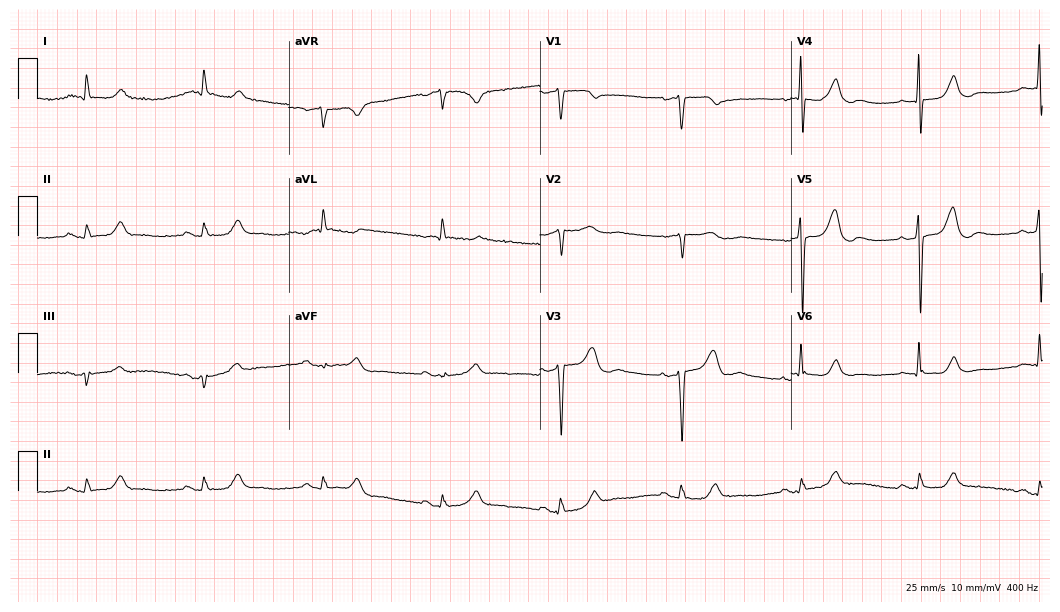
12-lead ECG from a female patient, 77 years old (10.2-second recording at 400 Hz). No first-degree AV block, right bundle branch block, left bundle branch block, sinus bradycardia, atrial fibrillation or sinus tachycardia recorded for this tracing.